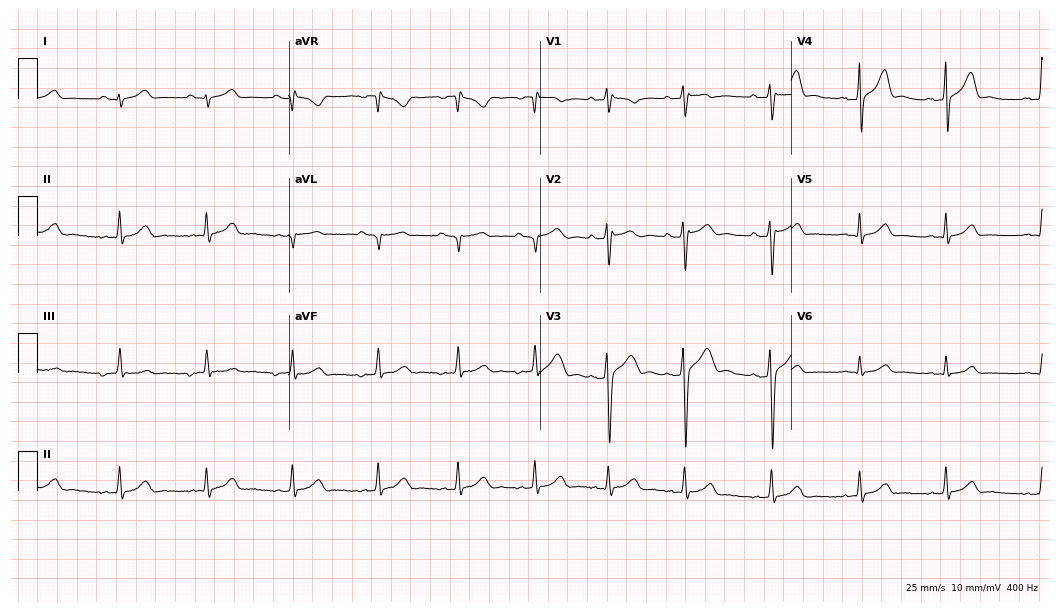
12-lead ECG from a 20-year-old man. Recorded interpretation: within normal limits.